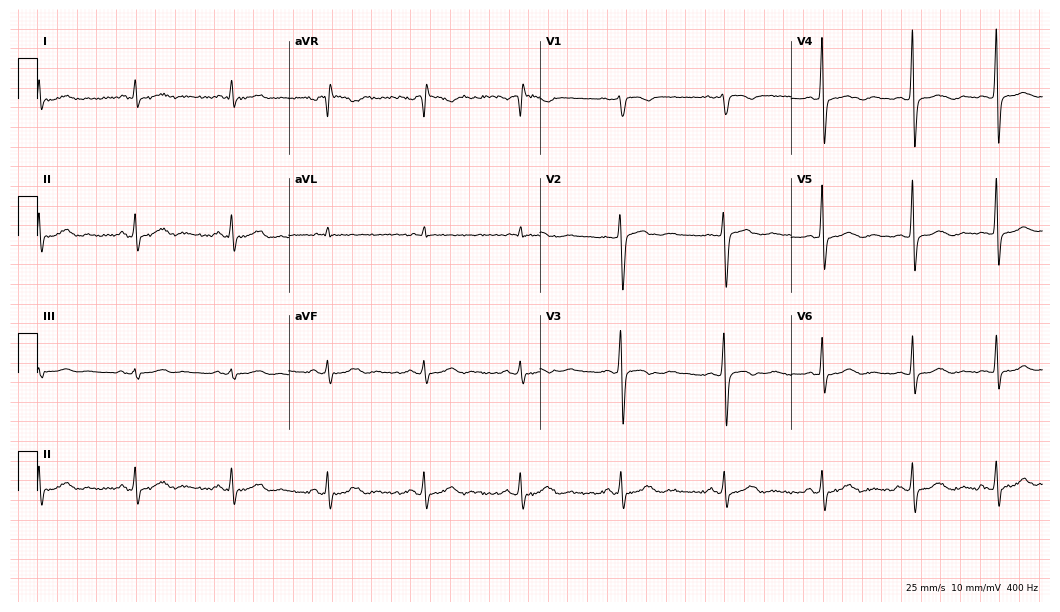
ECG (10.2-second recording at 400 Hz) — a 33-year-old female. Screened for six findings — first-degree AV block, right bundle branch block, left bundle branch block, sinus bradycardia, atrial fibrillation, sinus tachycardia — none is recorded.